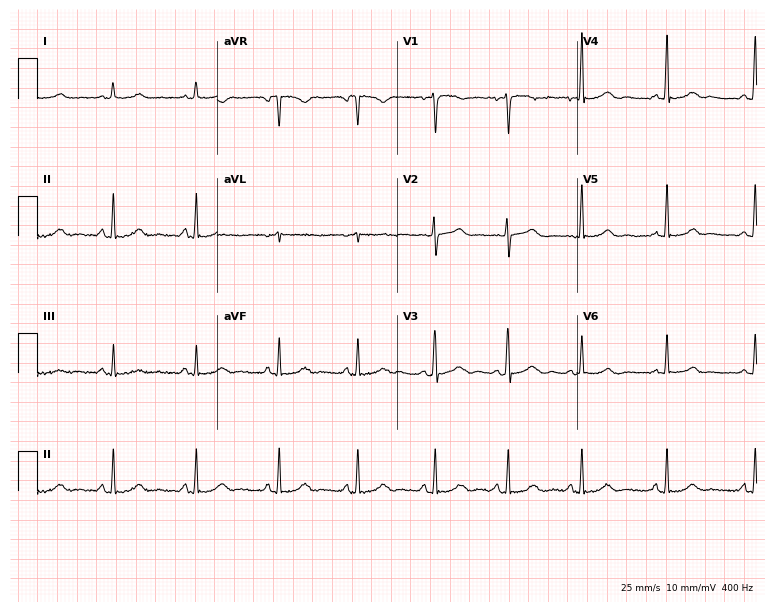
ECG (7.3-second recording at 400 Hz) — a 39-year-old woman. Labelled as a normal ECG.